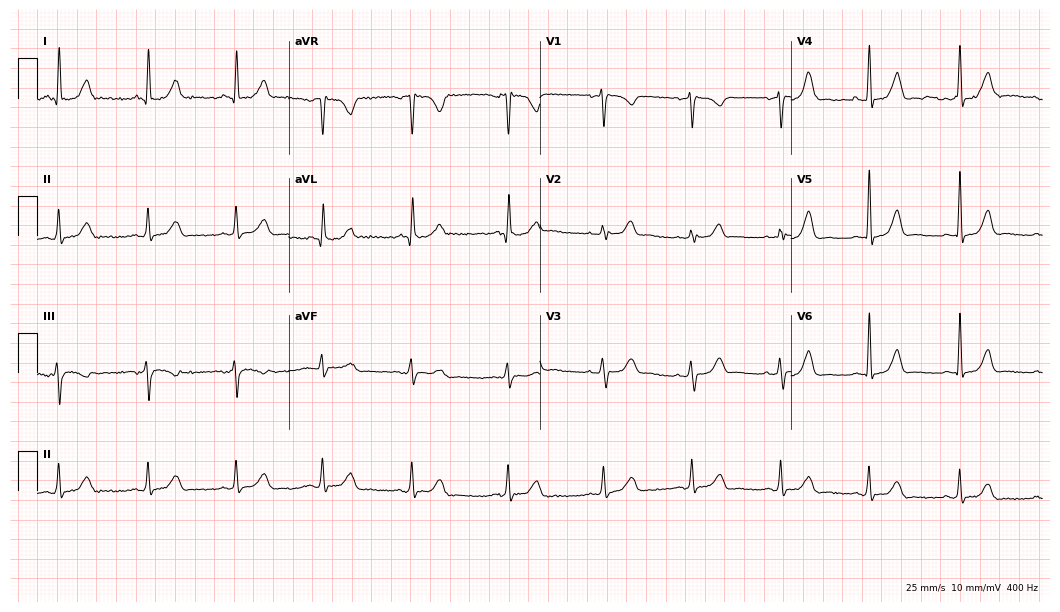
Electrocardiogram (10.2-second recording at 400 Hz), a woman, 61 years old. Overall reading on record: normal ECG.